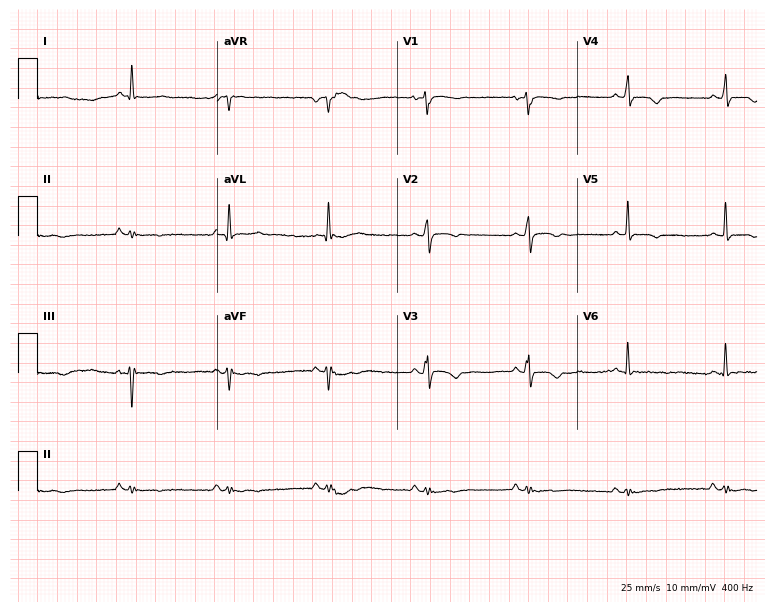
Electrocardiogram, a male patient, 52 years old. Of the six screened findings (first-degree AV block, right bundle branch block (RBBB), left bundle branch block (LBBB), sinus bradycardia, atrial fibrillation (AF), sinus tachycardia), none is recorded. Only these six findings were labelled.